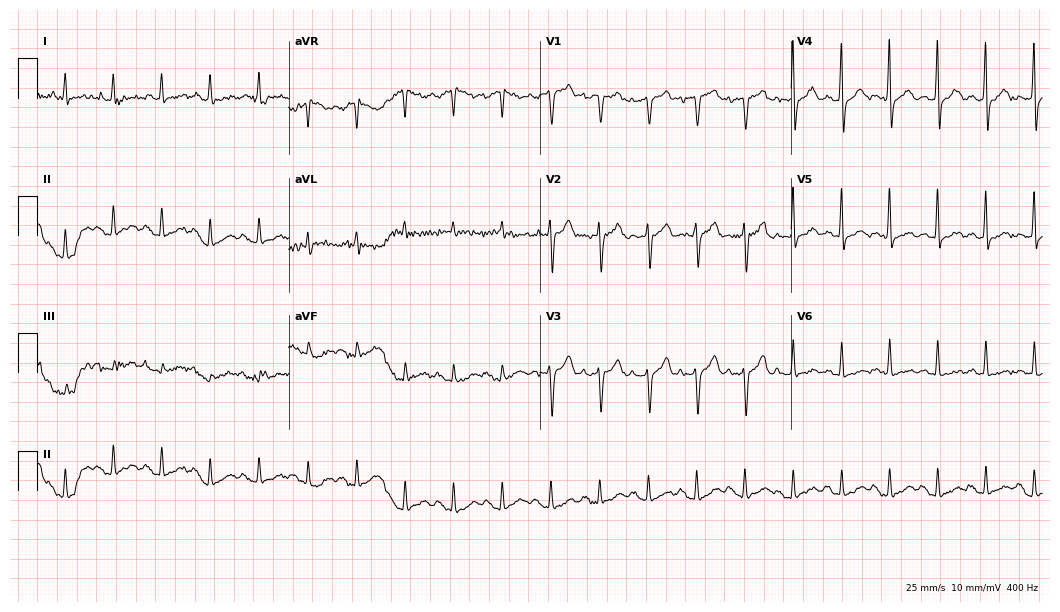
Standard 12-lead ECG recorded from a woman, 73 years old (10.2-second recording at 400 Hz). The tracing shows sinus tachycardia (a sinus rate of 100 beats per minute or more).